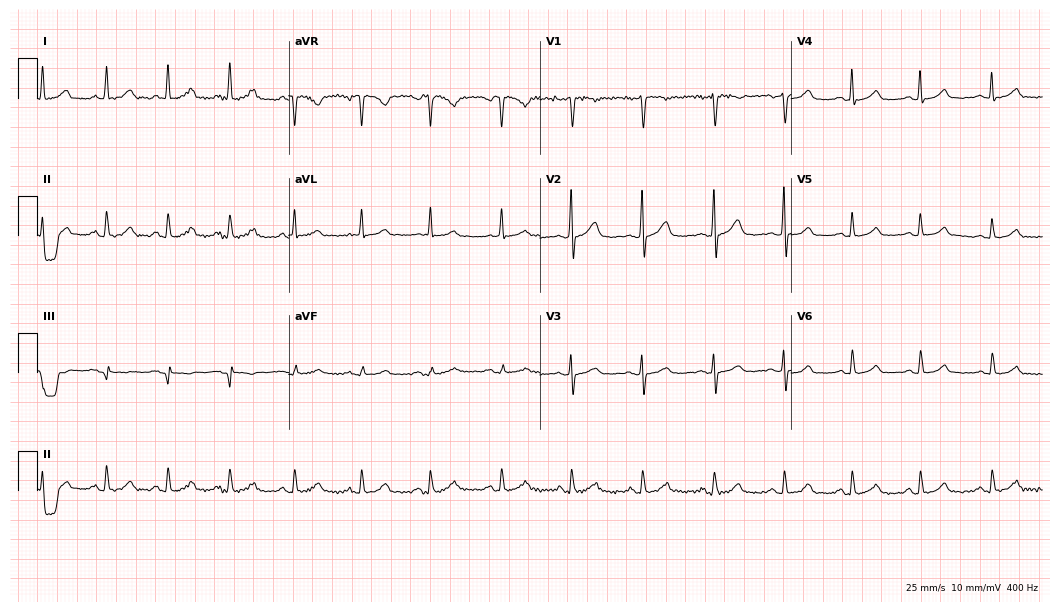
12-lead ECG (10.2-second recording at 400 Hz) from a female, 54 years old. Screened for six findings — first-degree AV block, right bundle branch block, left bundle branch block, sinus bradycardia, atrial fibrillation, sinus tachycardia — none is recorded.